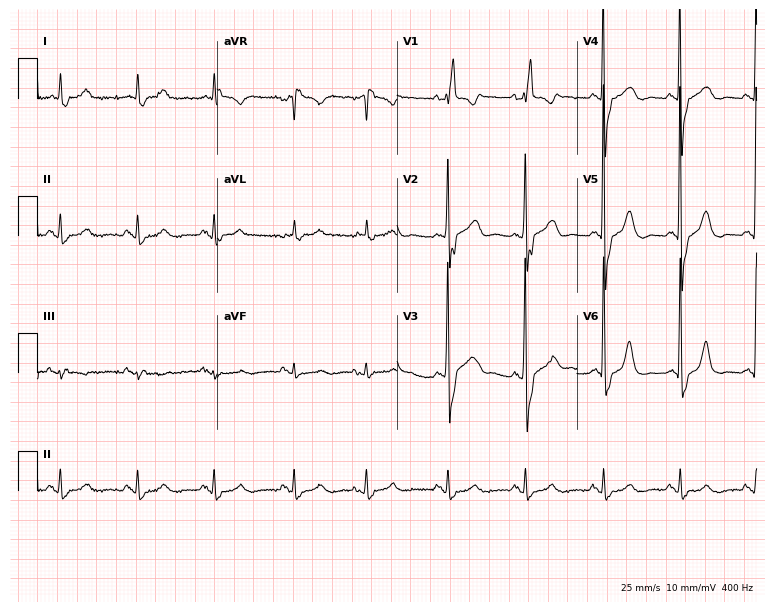
Resting 12-lead electrocardiogram (7.3-second recording at 400 Hz). Patient: an 81-year-old female. The tracing shows left bundle branch block.